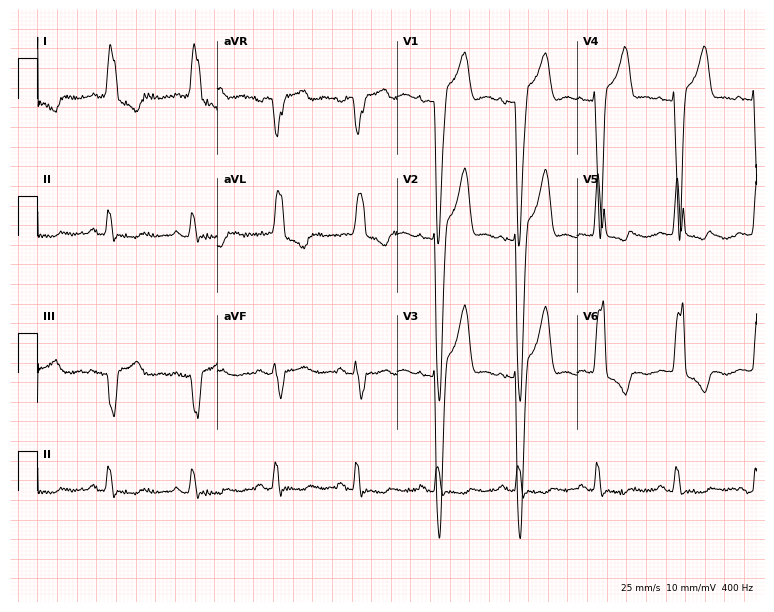
12-lead ECG from a female patient, 85 years old. Findings include left bundle branch block.